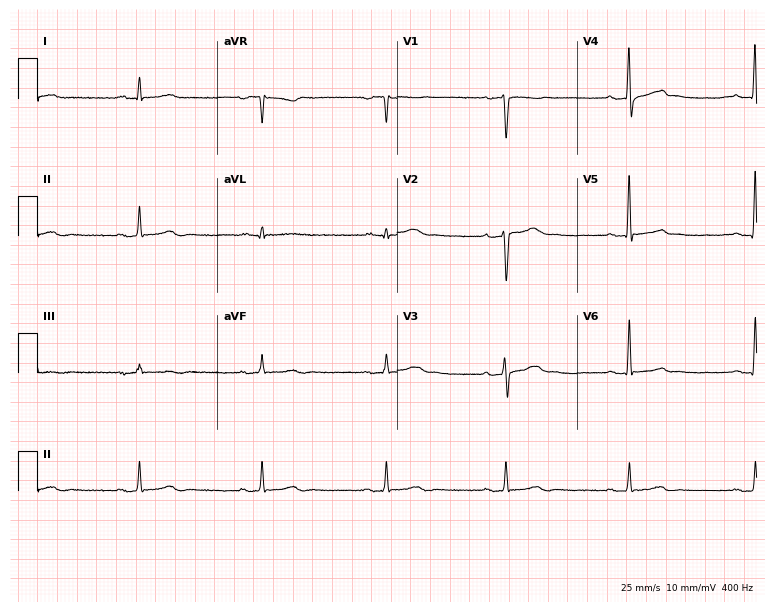
Electrocardiogram, a male, 42 years old. Interpretation includes sinus bradycardia (a sinus rate of 50 beats per minute or less).